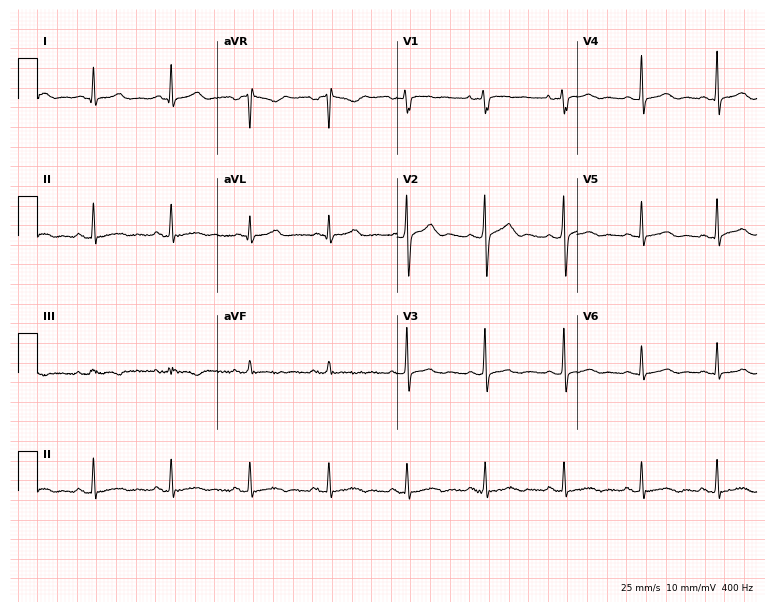
ECG — a 23-year-old female patient. Labelled as a normal ECG.